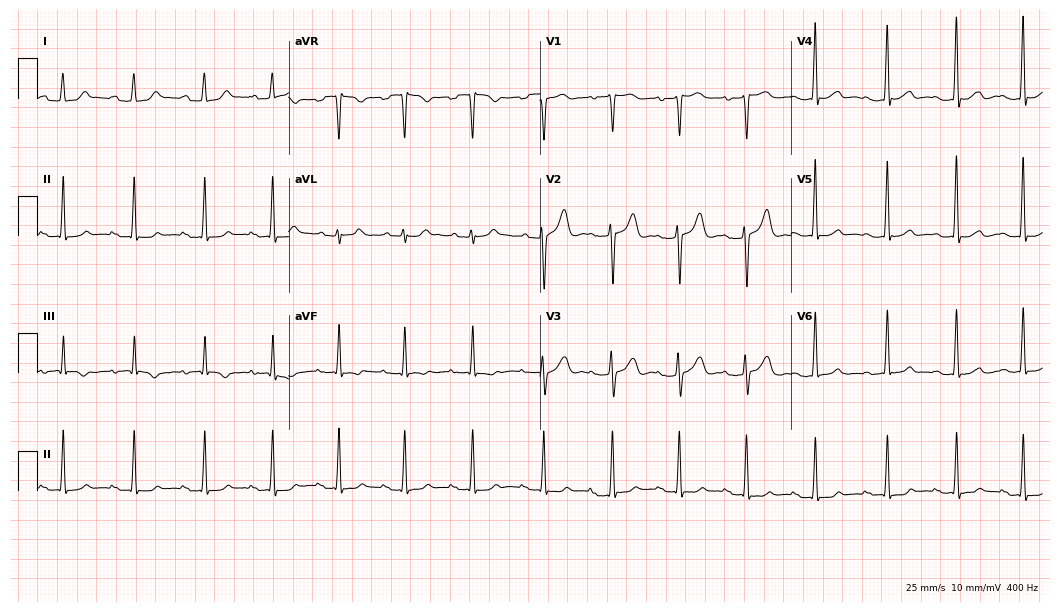
ECG (10.2-second recording at 400 Hz) — a woman, 30 years old. Screened for six findings — first-degree AV block, right bundle branch block (RBBB), left bundle branch block (LBBB), sinus bradycardia, atrial fibrillation (AF), sinus tachycardia — none is recorded.